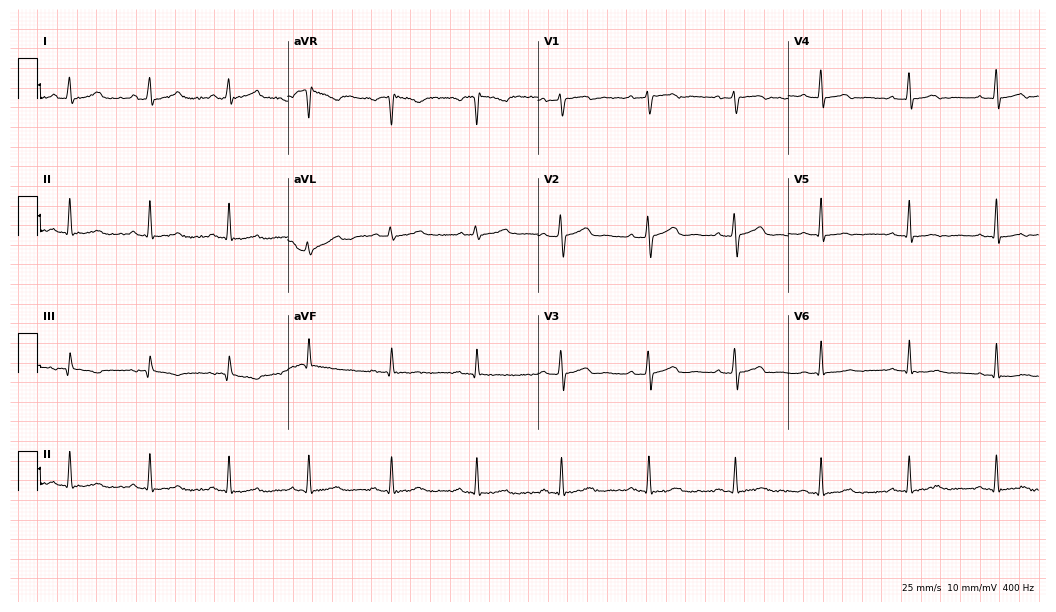
ECG (10.2-second recording at 400 Hz) — a woman, 35 years old. Screened for six findings — first-degree AV block, right bundle branch block (RBBB), left bundle branch block (LBBB), sinus bradycardia, atrial fibrillation (AF), sinus tachycardia — none is recorded. Findings outside these six are not listed.